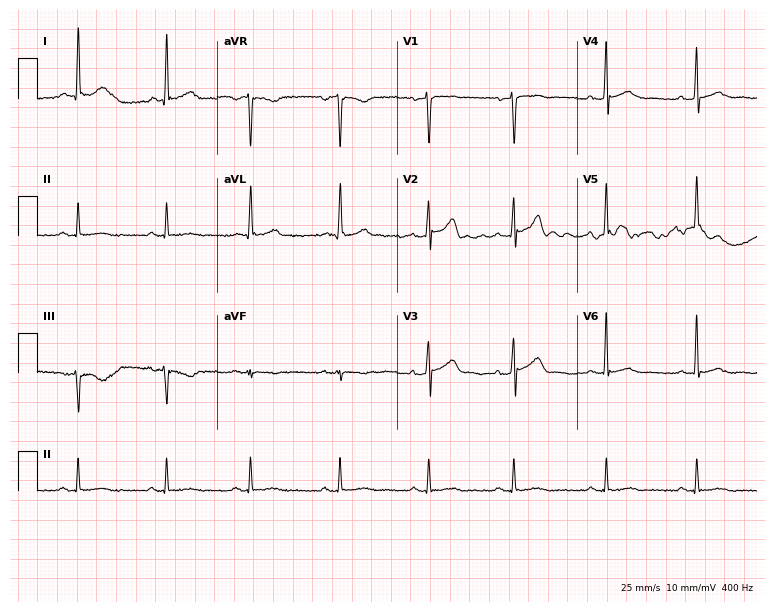
Electrocardiogram, a 49-year-old male patient. Overall reading on record: normal ECG.